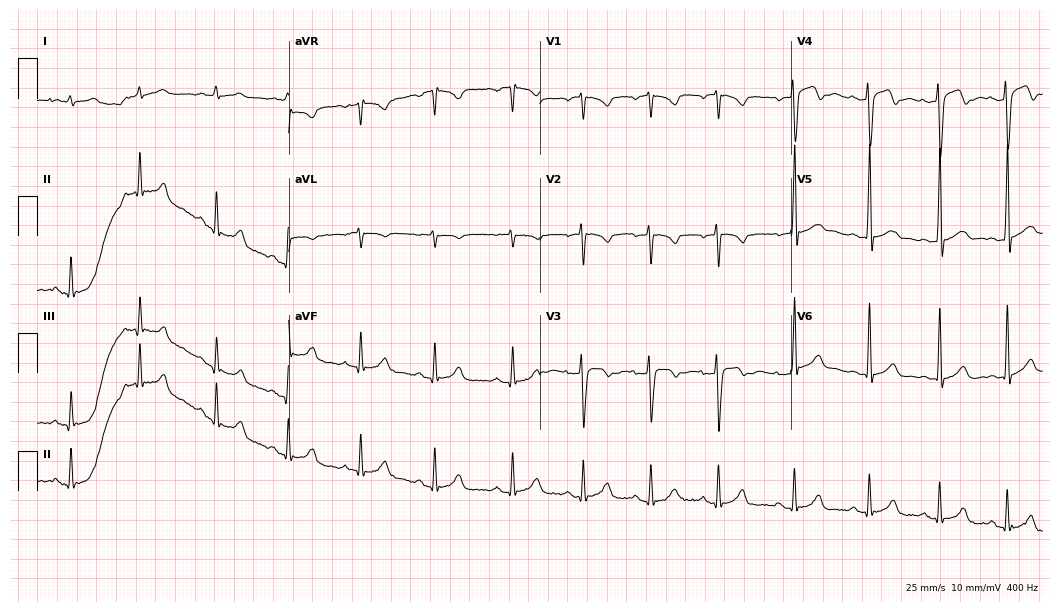
Resting 12-lead electrocardiogram (10.2-second recording at 400 Hz). Patient: a male, 17 years old. Read as a normal ECG.